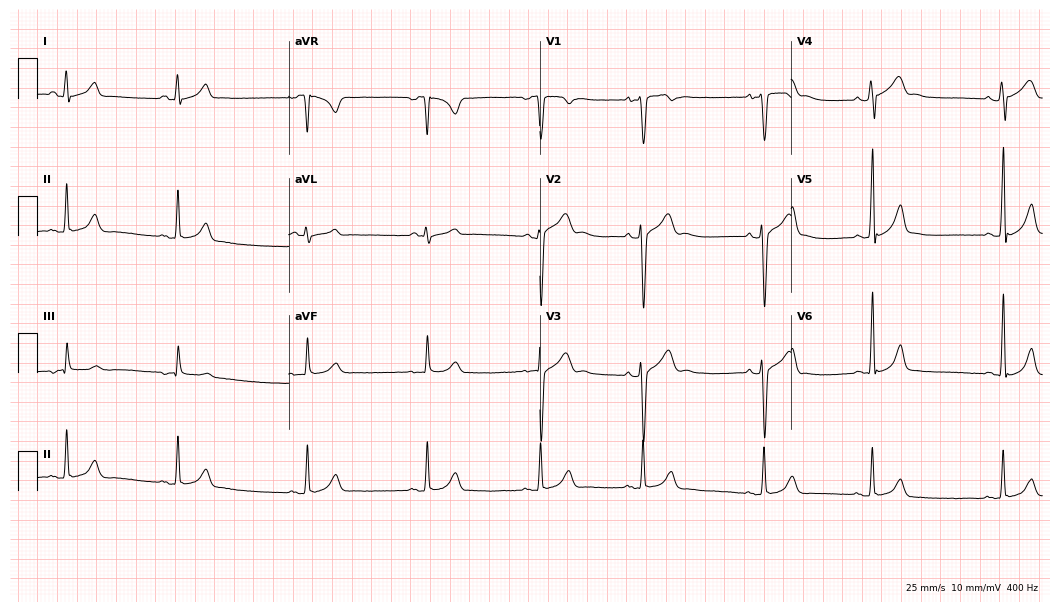
12-lead ECG (10.2-second recording at 400 Hz) from a 17-year-old male patient. Screened for six findings — first-degree AV block, right bundle branch block (RBBB), left bundle branch block (LBBB), sinus bradycardia, atrial fibrillation (AF), sinus tachycardia — none is recorded.